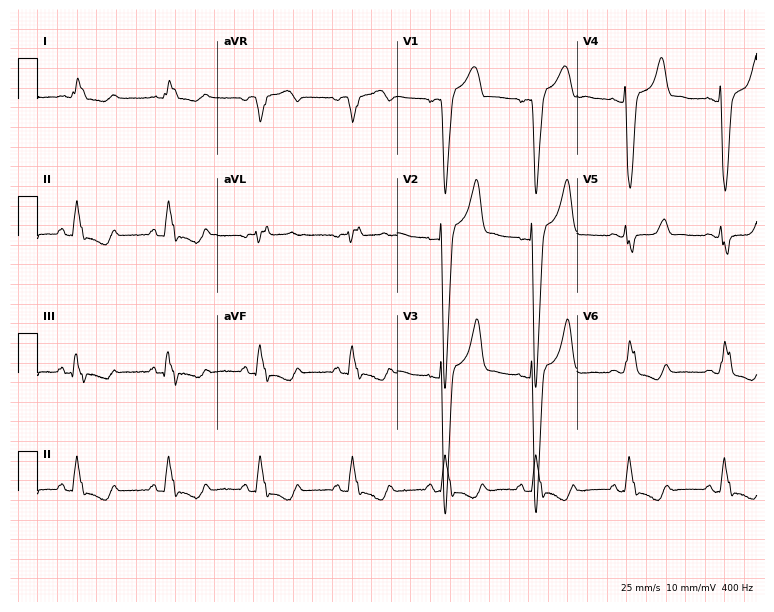
12-lead ECG (7.3-second recording at 400 Hz) from a 72-year-old male. Screened for six findings — first-degree AV block, right bundle branch block, left bundle branch block, sinus bradycardia, atrial fibrillation, sinus tachycardia — none is recorded. Findings outside these six are not listed.